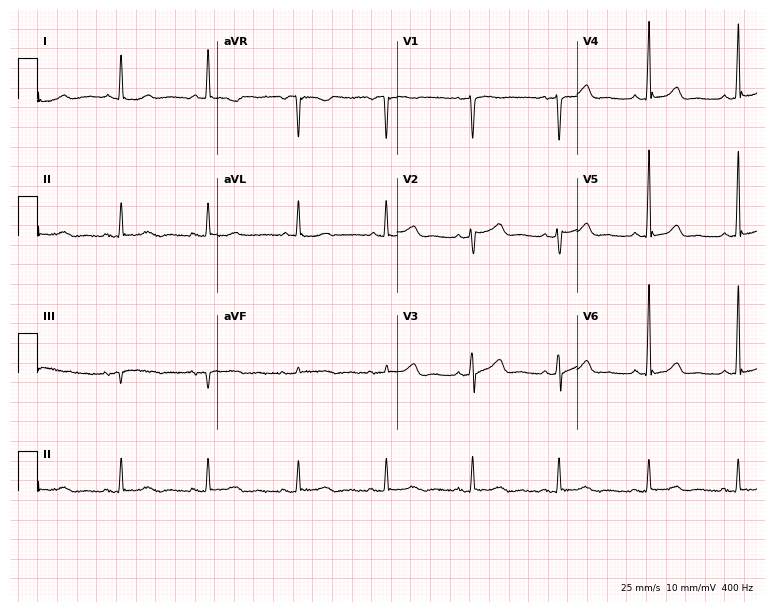
12-lead ECG (7.3-second recording at 400 Hz) from a female patient, 53 years old. Screened for six findings — first-degree AV block, right bundle branch block, left bundle branch block, sinus bradycardia, atrial fibrillation, sinus tachycardia — none is recorded.